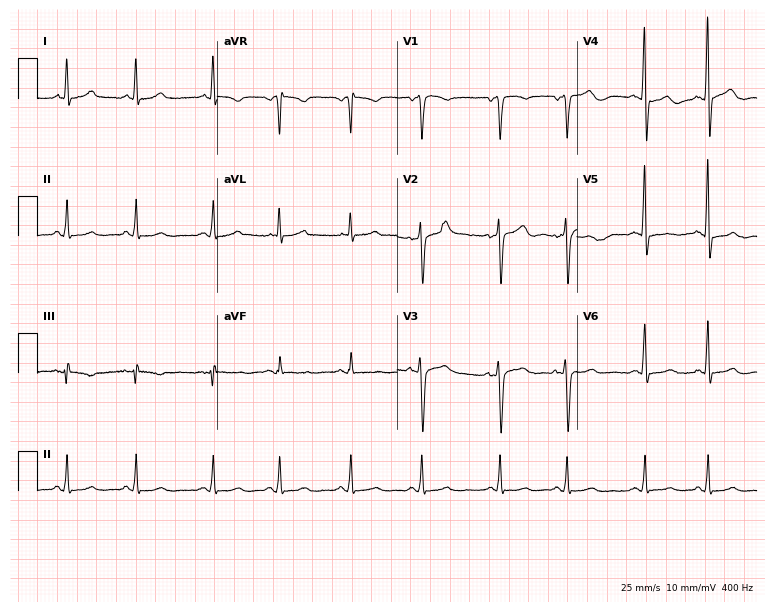
Standard 12-lead ECG recorded from a male patient, 59 years old. None of these six findings is recorded: first-degree AV block, right bundle branch block, left bundle branch block, sinus bradycardia, atrial fibrillation, sinus tachycardia.